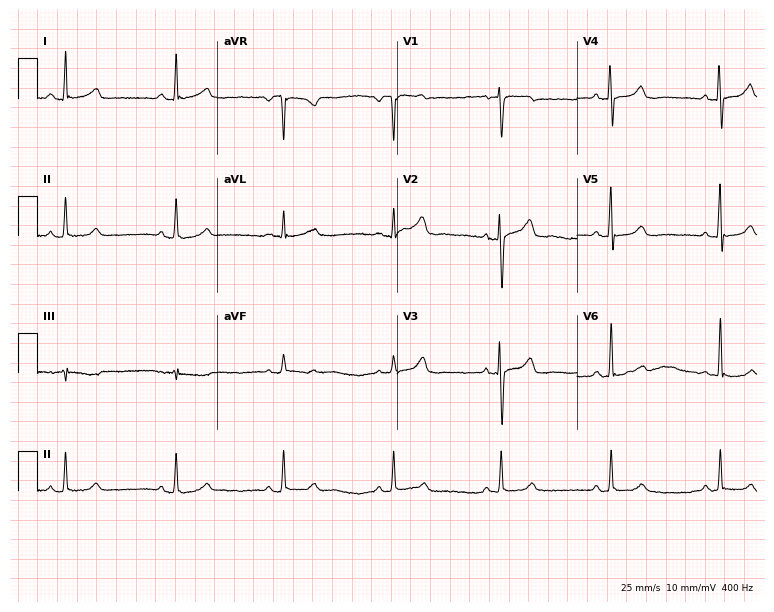
12-lead ECG (7.3-second recording at 400 Hz) from a female patient, 51 years old. Labelled as a normal ECG.